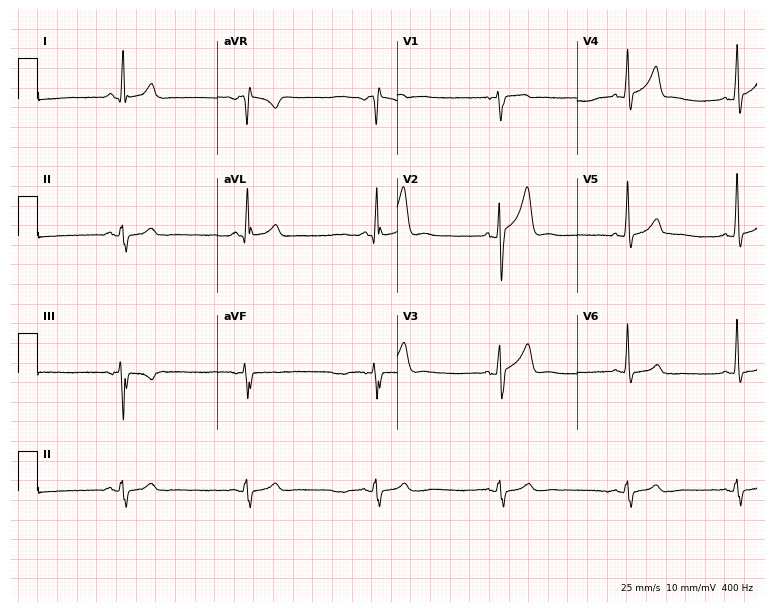
ECG — a 34-year-old man. Screened for six findings — first-degree AV block, right bundle branch block, left bundle branch block, sinus bradycardia, atrial fibrillation, sinus tachycardia — none is recorded. Other findings, if any, are not listed.